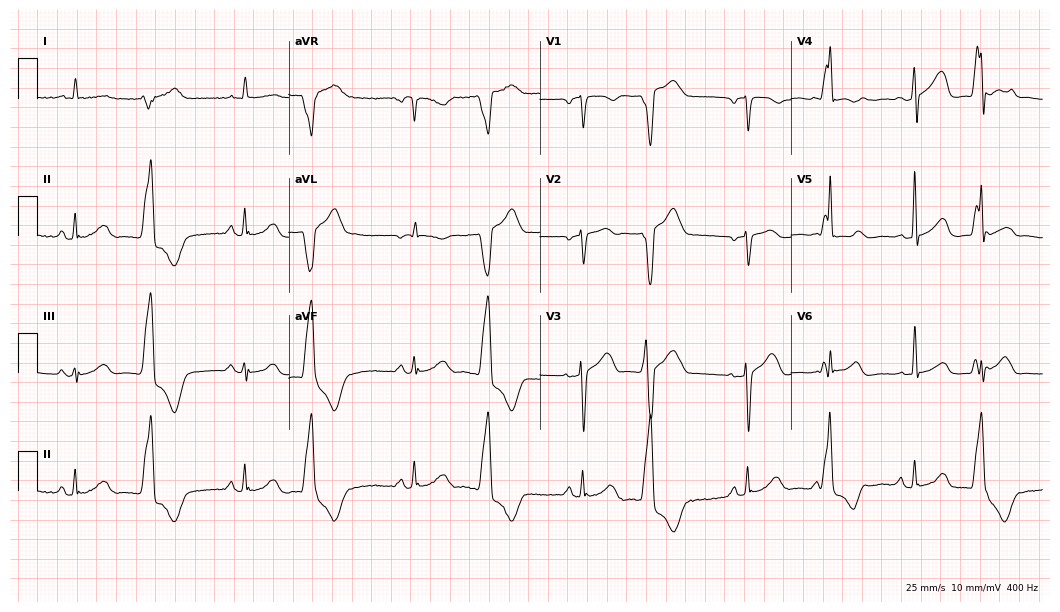
Resting 12-lead electrocardiogram (10.2-second recording at 400 Hz). Patient: a female, 79 years old. None of these six findings is recorded: first-degree AV block, right bundle branch block, left bundle branch block, sinus bradycardia, atrial fibrillation, sinus tachycardia.